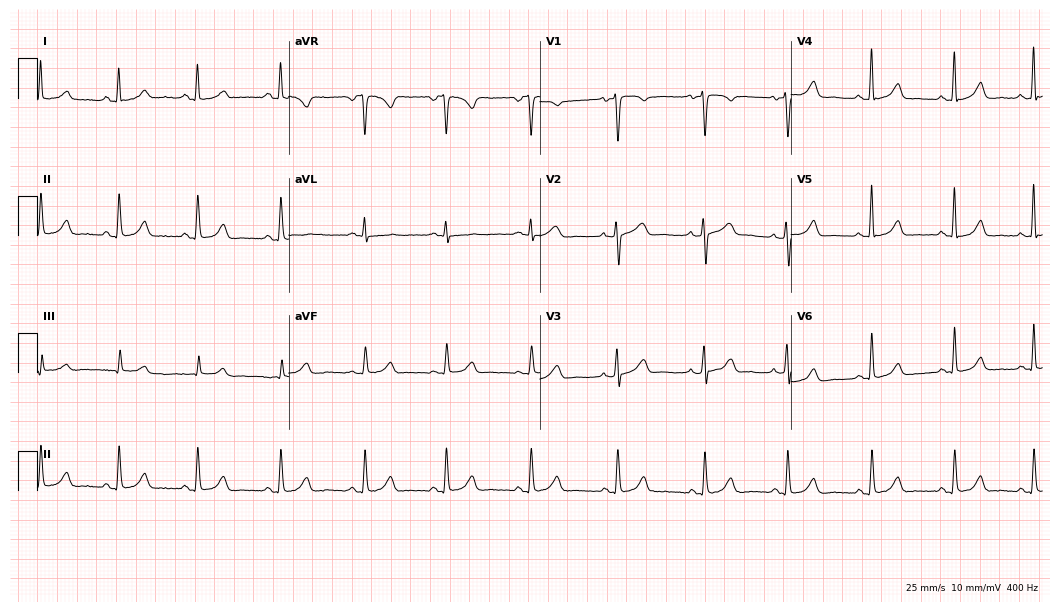
ECG — a 40-year-old female. Labelled as a normal ECG.